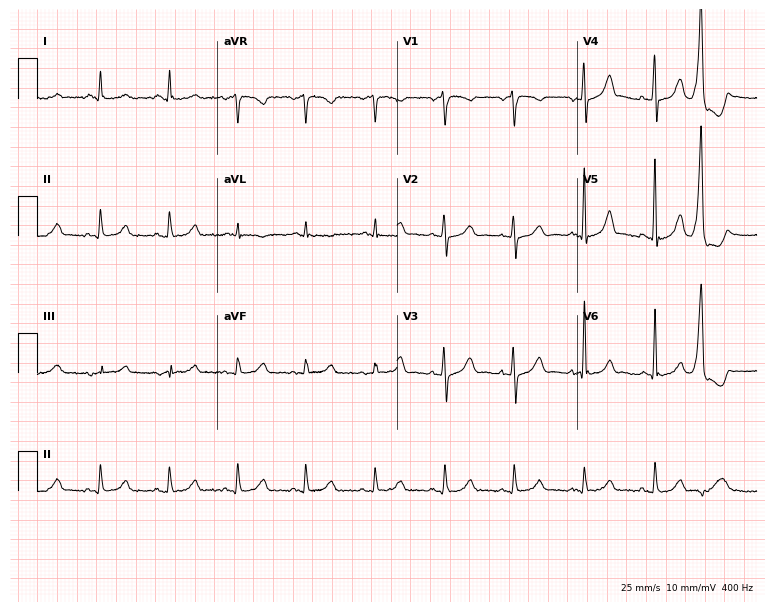
Electrocardiogram, a male, 77 years old. Of the six screened findings (first-degree AV block, right bundle branch block, left bundle branch block, sinus bradycardia, atrial fibrillation, sinus tachycardia), none is recorded. Only these six findings were labelled.